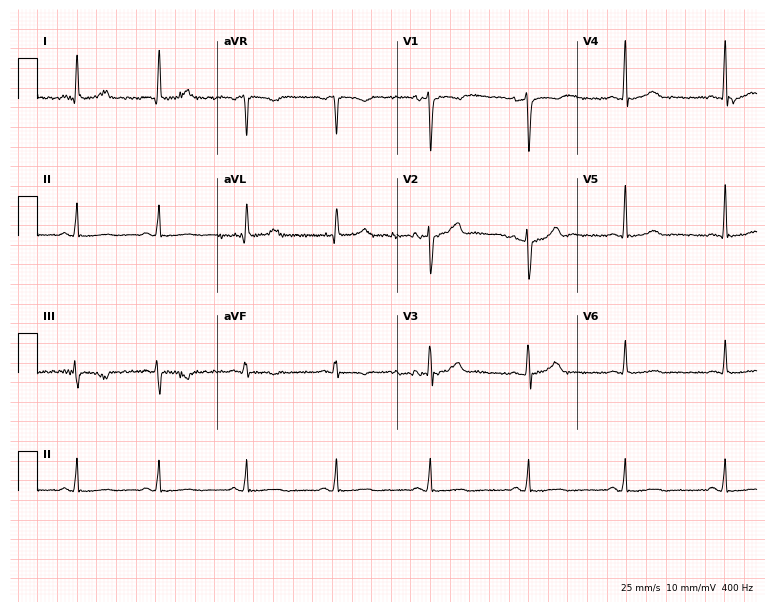
ECG (7.3-second recording at 400 Hz) — a 40-year-old female. Screened for six findings — first-degree AV block, right bundle branch block, left bundle branch block, sinus bradycardia, atrial fibrillation, sinus tachycardia — none is recorded.